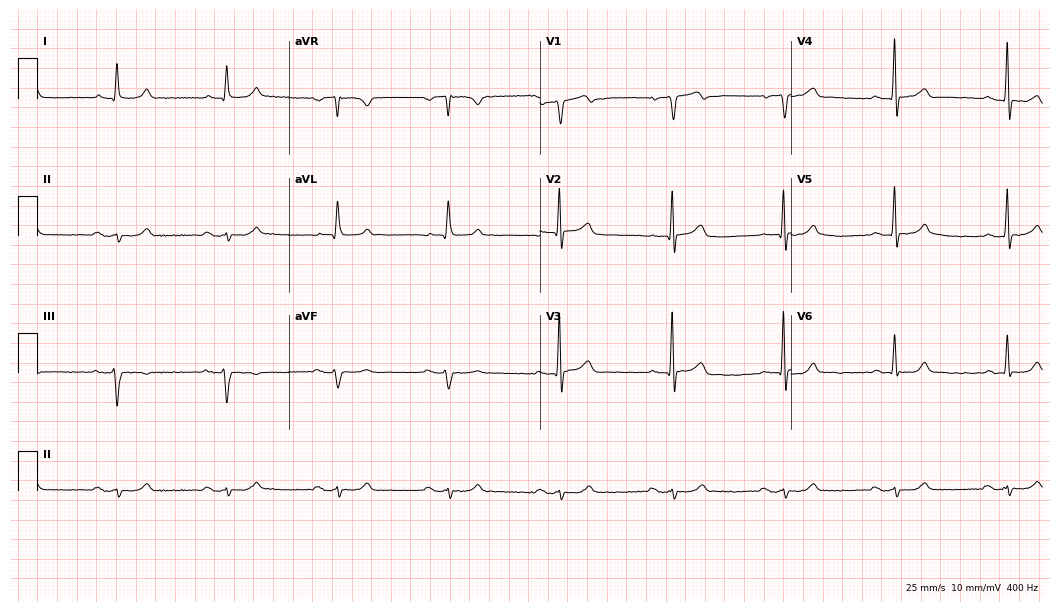
12-lead ECG (10.2-second recording at 400 Hz) from a male patient, 80 years old. Screened for six findings — first-degree AV block, right bundle branch block, left bundle branch block, sinus bradycardia, atrial fibrillation, sinus tachycardia — none is recorded.